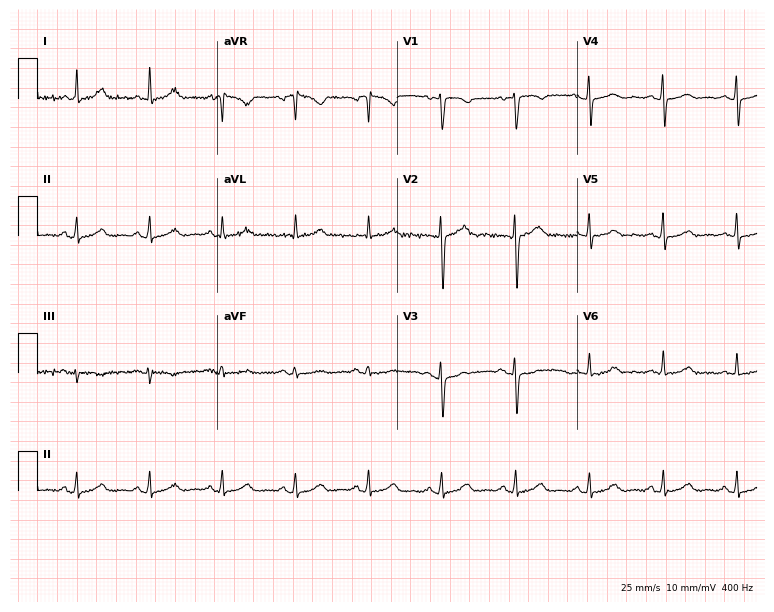
Electrocardiogram (7.3-second recording at 400 Hz), a female patient, 47 years old. Overall reading on record: normal ECG.